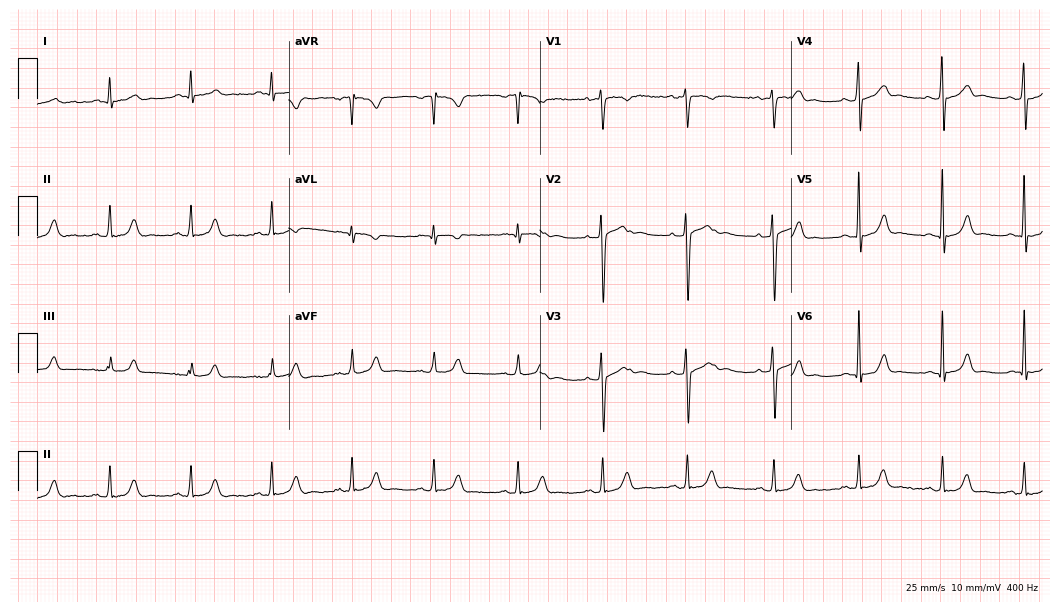
12-lead ECG from a 51-year-old man (10.2-second recording at 400 Hz). Recorded interpretation: within normal limits.